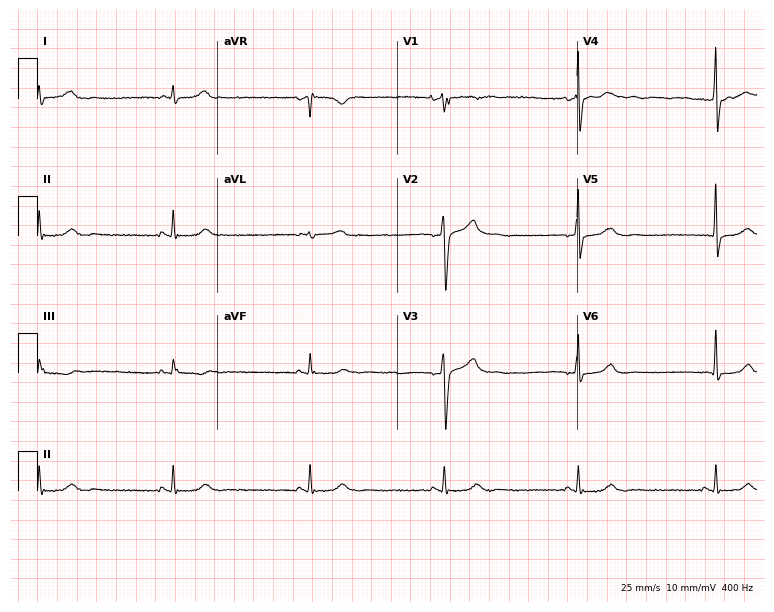
Standard 12-lead ECG recorded from a man, 54 years old (7.3-second recording at 400 Hz). None of these six findings is recorded: first-degree AV block, right bundle branch block, left bundle branch block, sinus bradycardia, atrial fibrillation, sinus tachycardia.